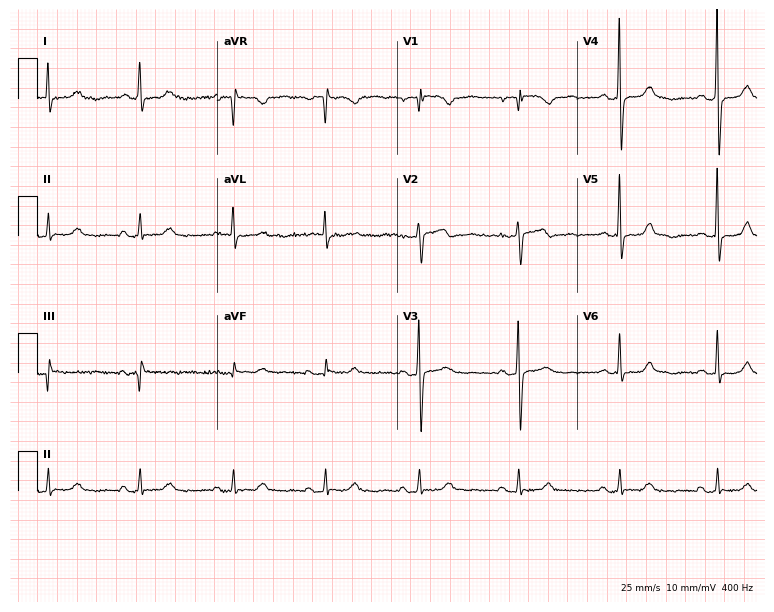
ECG — an 84-year-old female. Screened for six findings — first-degree AV block, right bundle branch block, left bundle branch block, sinus bradycardia, atrial fibrillation, sinus tachycardia — none is recorded.